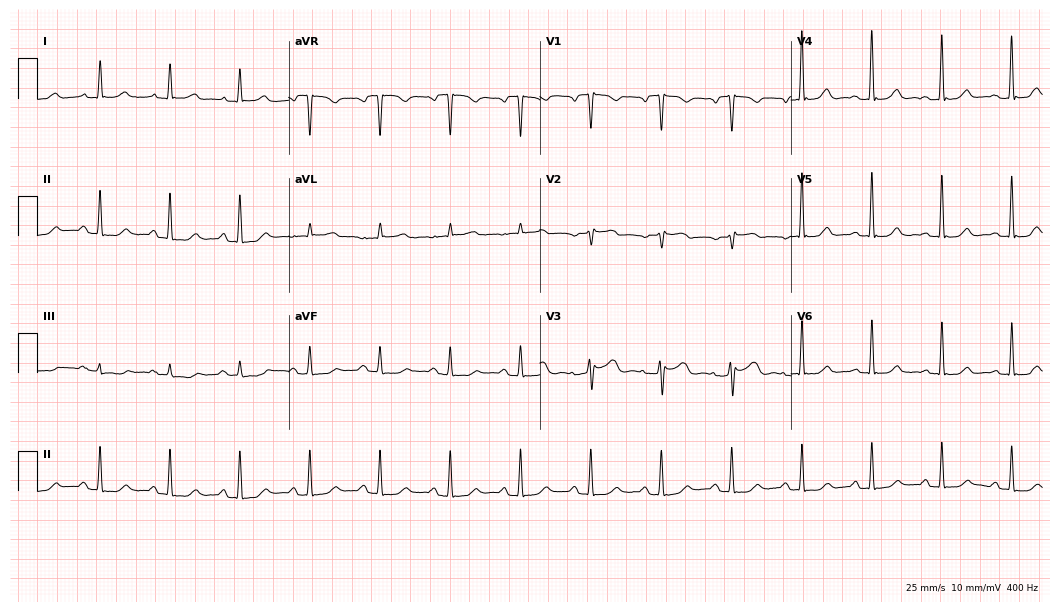
ECG — a 60-year-old woman. Screened for six findings — first-degree AV block, right bundle branch block, left bundle branch block, sinus bradycardia, atrial fibrillation, sinus tachycardia — none is recorded. Findings outside these six are not listed.